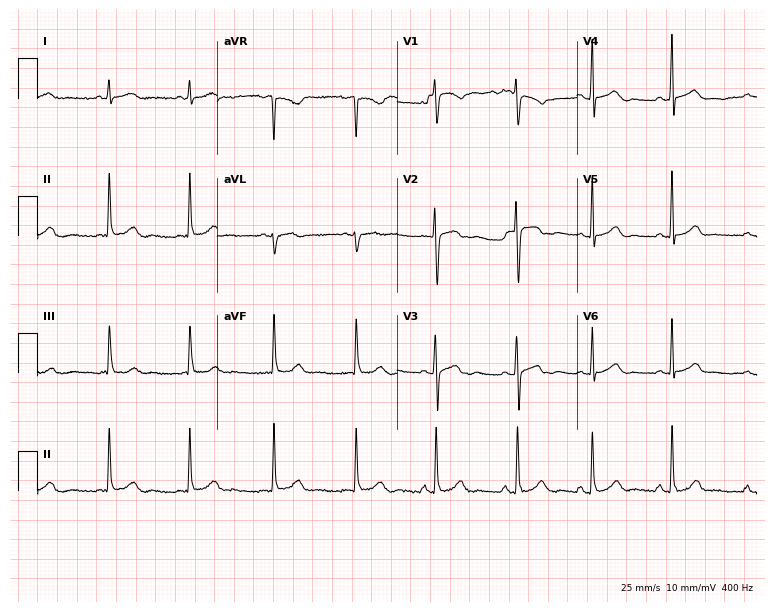
ECG (7.3-second recording at 400 Hz) — a woman, 22 years old. Screened for six findings — first-degree AV block, right bundle branch block, left bundle branch block, sinus bradycardia, atrial fibrillation, sinus tachycardia — none is recorded.